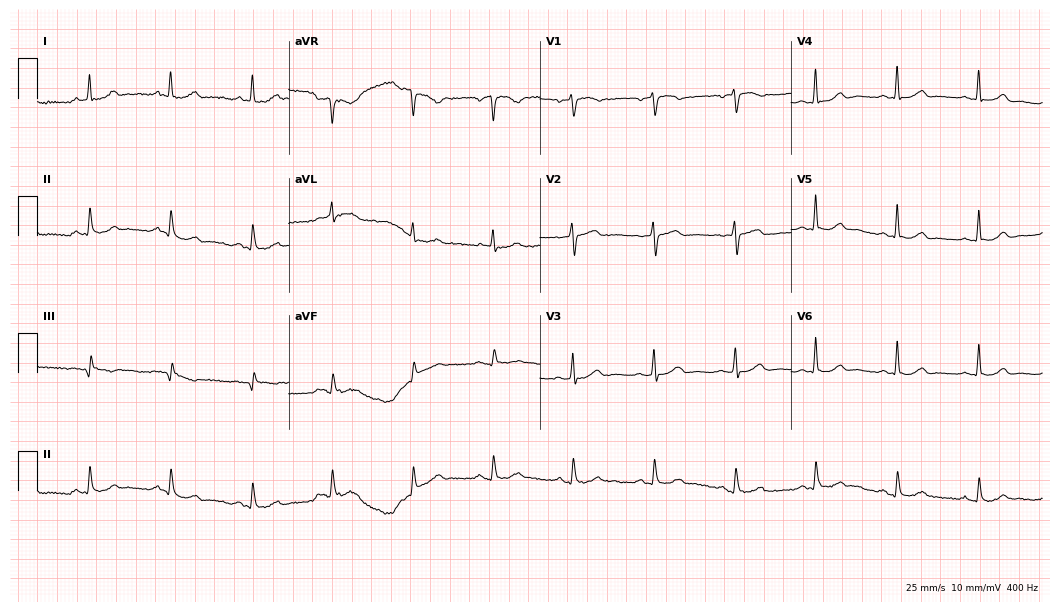
Resting 12-lead electrocardiogram (10.2-second recording at 400 Hz). Patient: a woman, 58 years old. Read as a normal ECG.